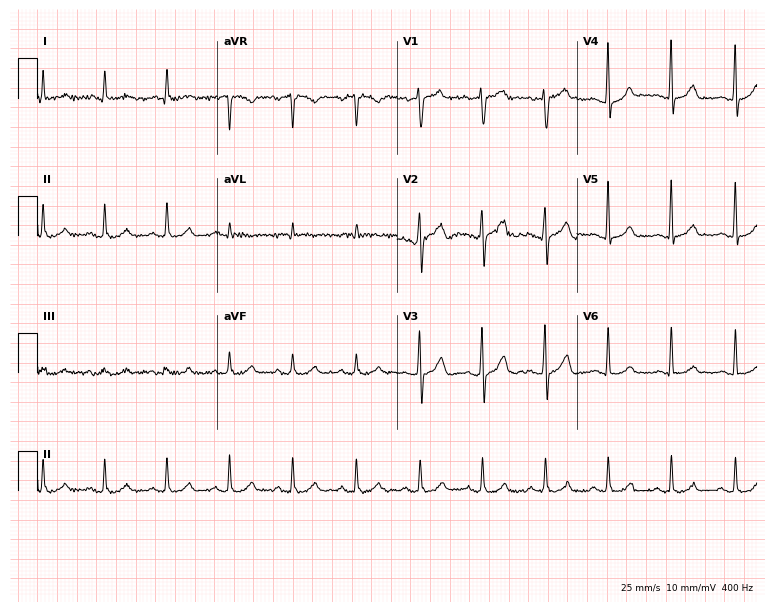
12-lead ECG from a 65-year-old man (7.3-second recording at 400 Hz). Recorded interpretation: within normal limits.